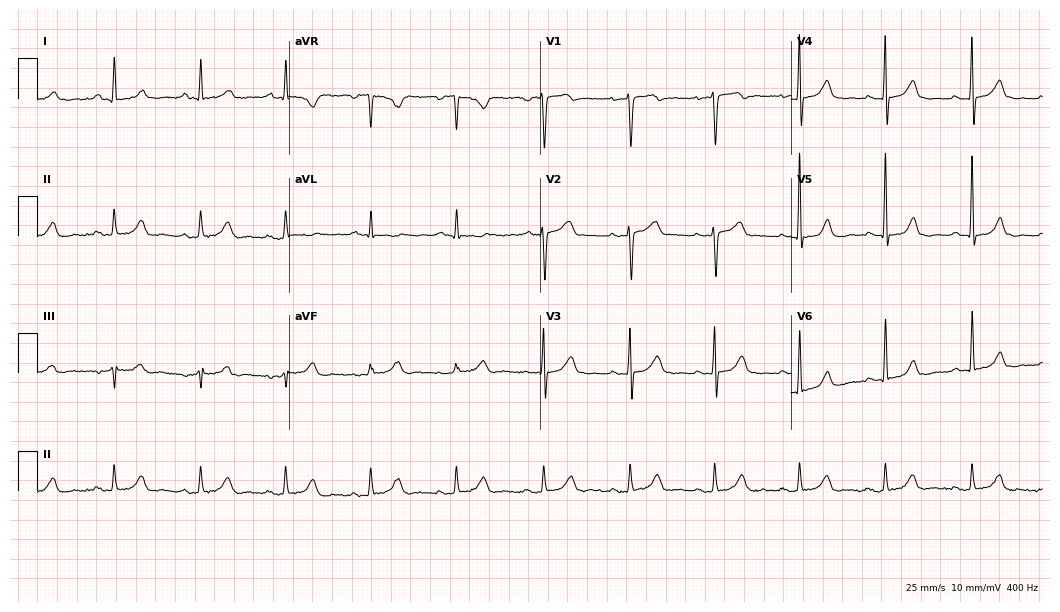
Resting 12-lead electrocardiogram. Patient: a female, 61 years old. None of these six findings is recorded: first-degree AV block, right bundle branch block, left bundle branch block, sinus bradycardia, atrial fibrillation, sinus tachycardia. Other findings, if any, are not listed.